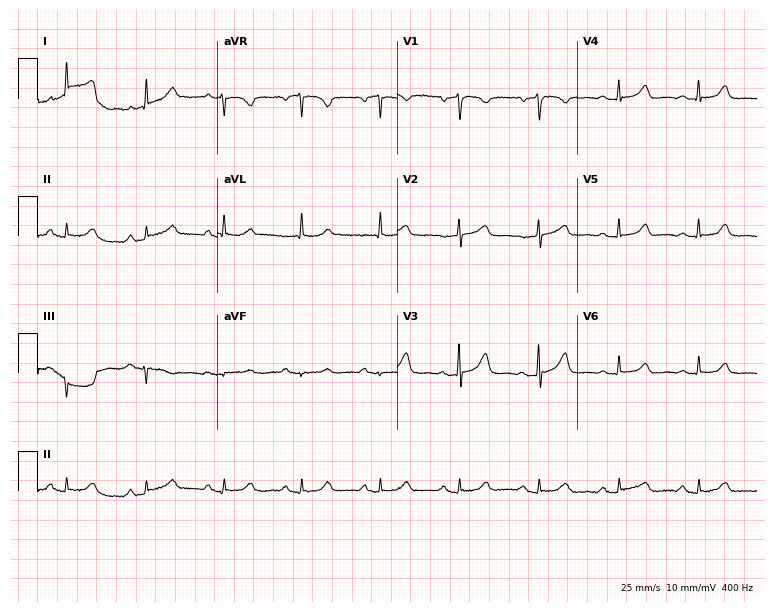
ECG — an 80-year-old woman. Labelled as a normal ECG.